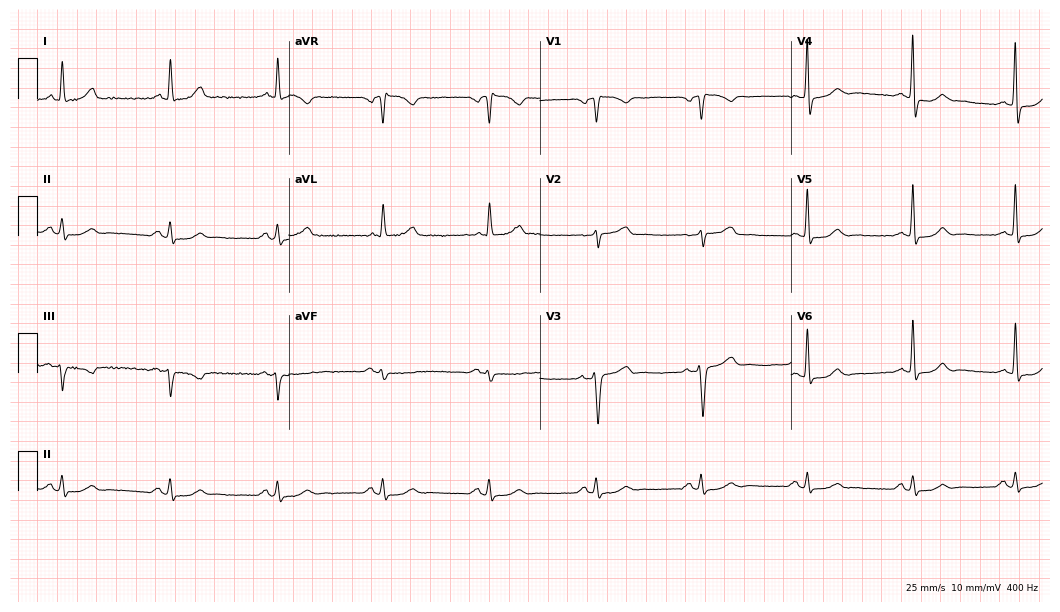
12-lead ECG from a 65-year-old woman. Screened for six findings — first-degree AV block, right bundle branch block, left bundle branch block, sinus bradycardia, atrial fibrillation, sinus tachycardia — none is recorded.